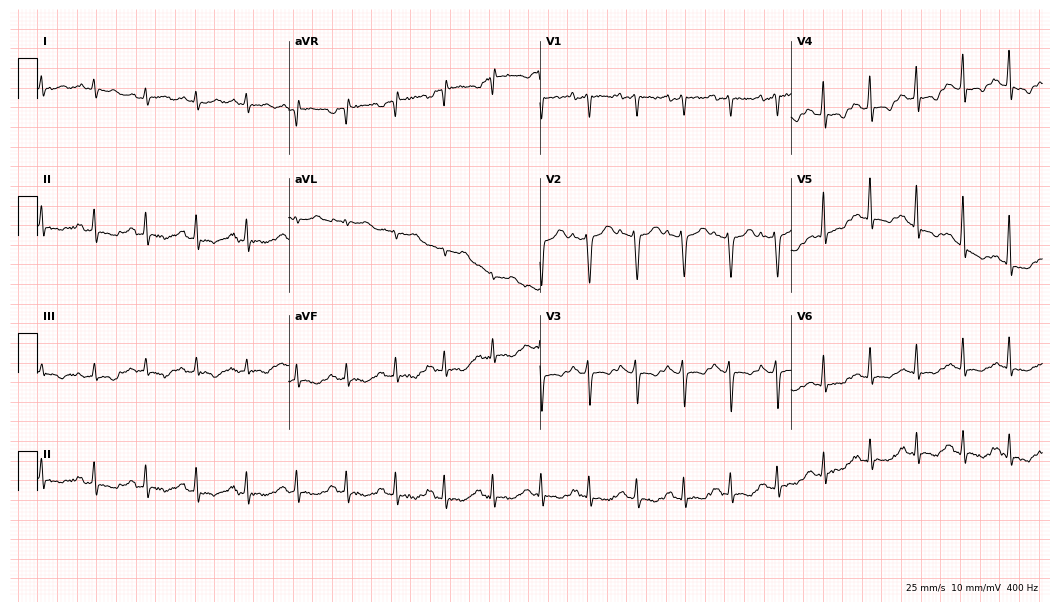
12-lead ECG from a female, 27 years old (10.2-second recording at 400 Hz). Shows sinus tachycardia (a sinus rate of 100 beats per minute or more).